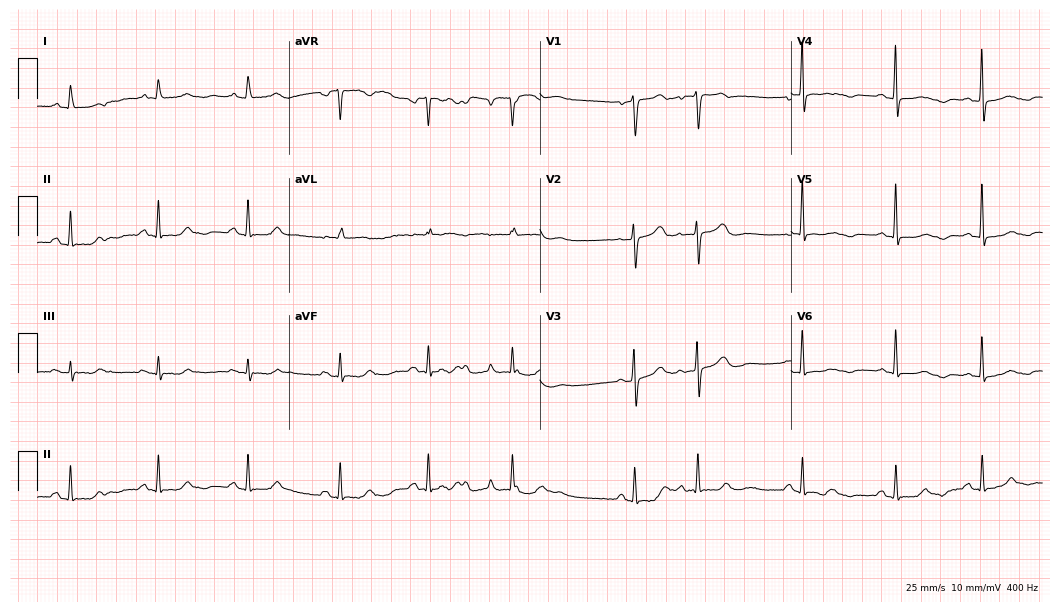
Standard 12-lead ECG recorded from a 73-year-old female (10.2-second recording at 400 Hz). None of these six findings is recorded: first-degree AV block, right bundle branch block, left bundle branch block, sinus bradycardia, atrial fibrillation, sinus tachycardia.